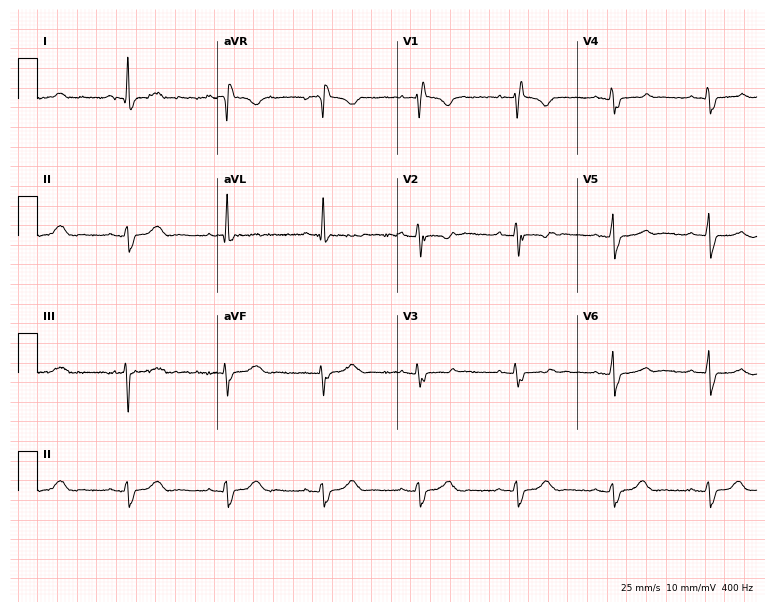
Resting 12-lead electrocardiogram (7.3-second recording at 400 Hz). Patient: a female, 27 years old. The tracing shows right bundle branch block.